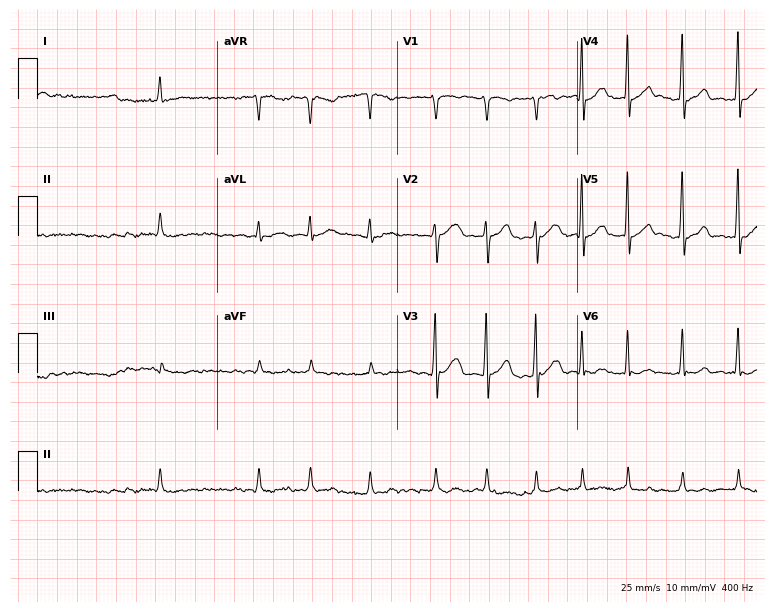
Standard 12-lead ECG recorded from a 53-year-old male patient. The tracing shows atrial fibrillation.